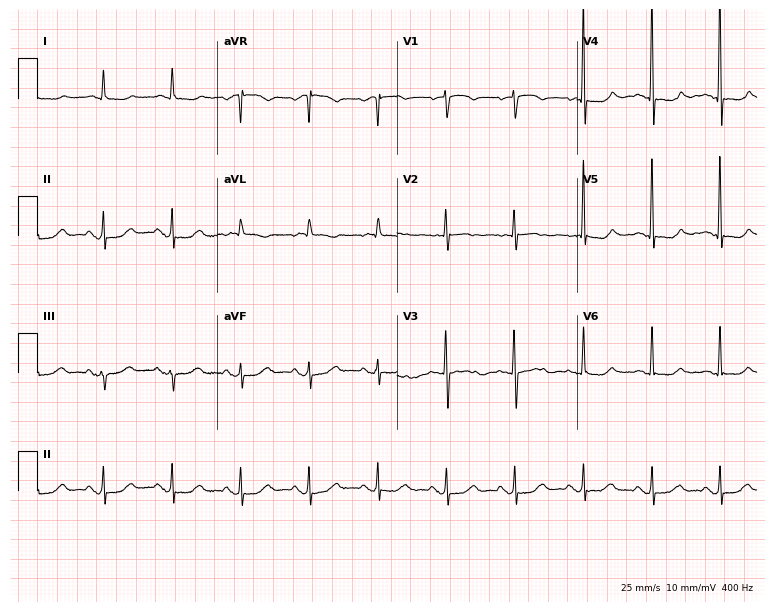
ECG (7.3-second recording at 400 Hz) — a female, 84 years old. Screened for six findings — first-degree AV block, right bundle branch block (RBBB), left bundle branch block (LBBB), sinus bradycardia, atrial fibrillation (AF), sinus tachycardia — none is recorded.